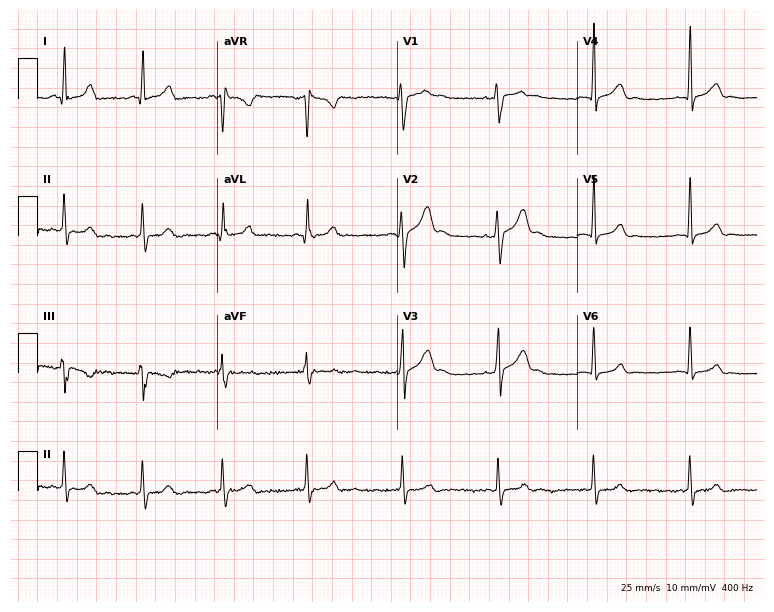
Electrocardiogram (7.3-second recording at 400 Hz), a male patient, 27 years old. Overall reading on record: normal ECG.